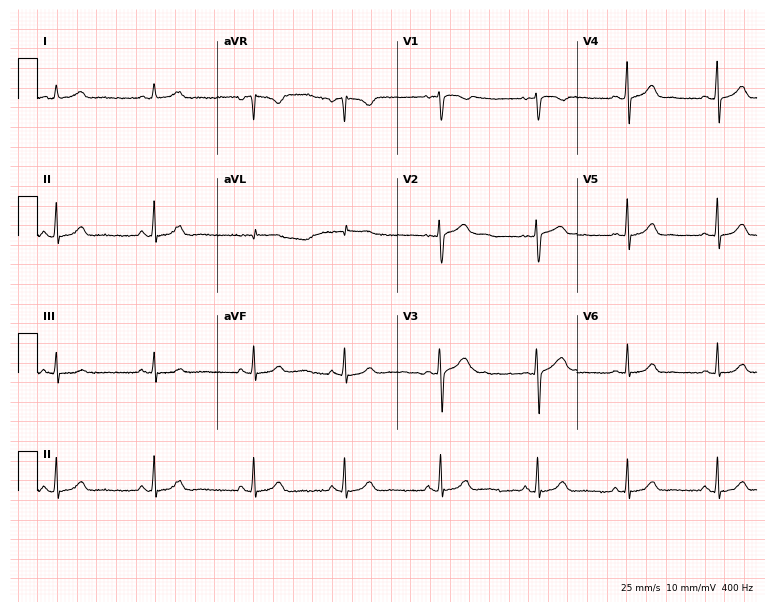
Resting 12-lead electrocardiogram. Patient: a female, 29 years old. Read as a normal ECG.